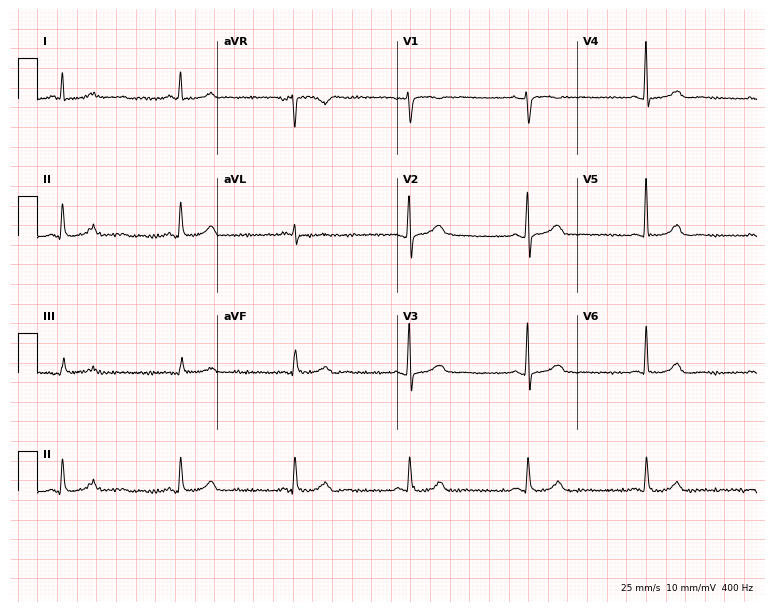
Resting 12-lead electrocardiogram. Patient: a female, 59 years old. None of these six findings is recorded: first-degree AV block, right bundle branch block (RBBB), left bundle branch block (LBBB), sinus bradycardia, atrial fibrillation (AF), sinus tachycardia.